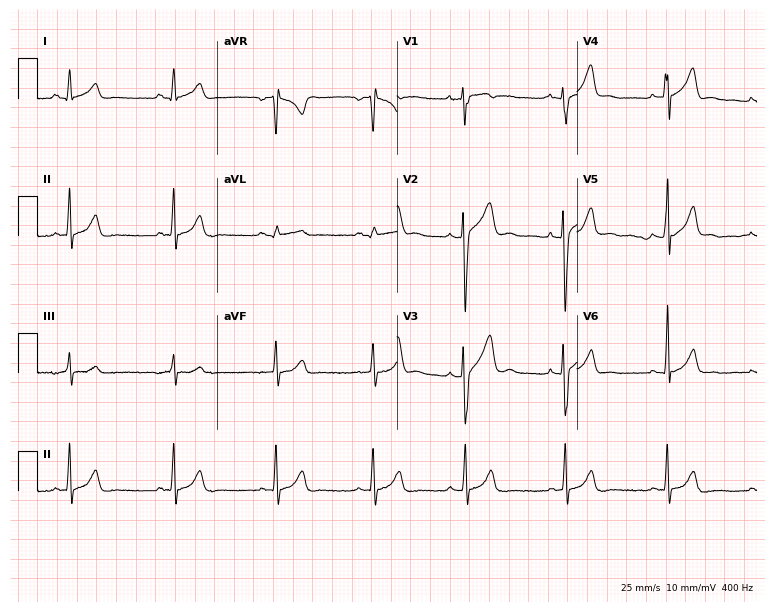
Resting 12-lead electrocardiogram. Patient: a male, 17 years old. Read as a normal ECG.